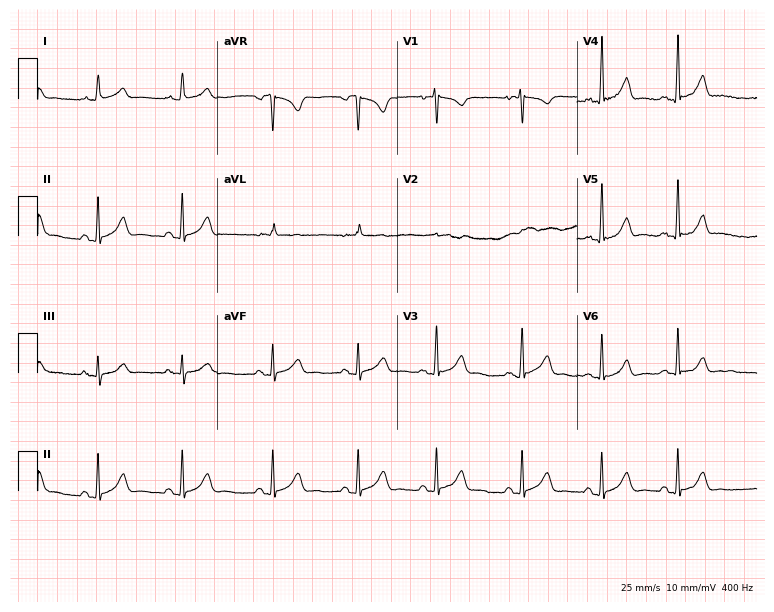
Standard 12-lead ECG recorded from a 26-year-old woman. None of these six findings is recorded: first-degree AV block, right bundle branch block, left bundle branch block, sinus bradycardia, atrial fibrillation, sinus tachycardia.